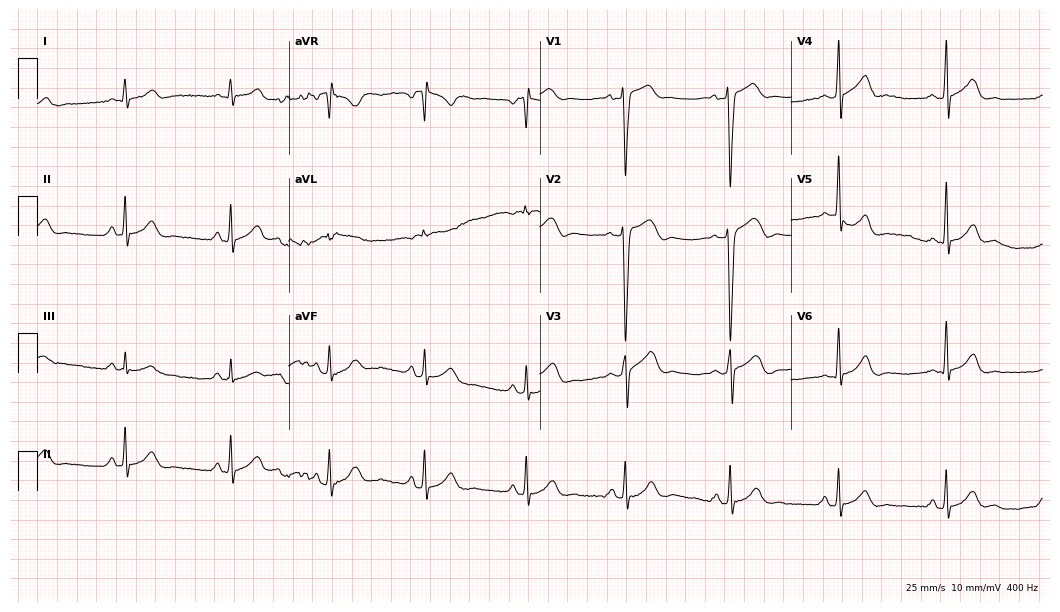
Electrocardiogram (10.2-second recording at 400 Hz), a male, 39 years old. Overall reading on record: normal ECG.